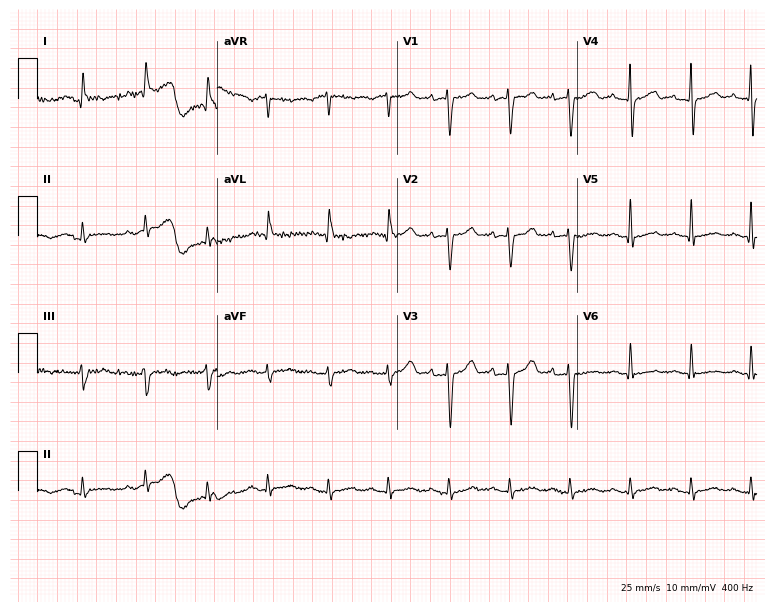
Resting 12-lead electrocardiogram. Patient: a woman, 84 years old. Read as a normal ECG.